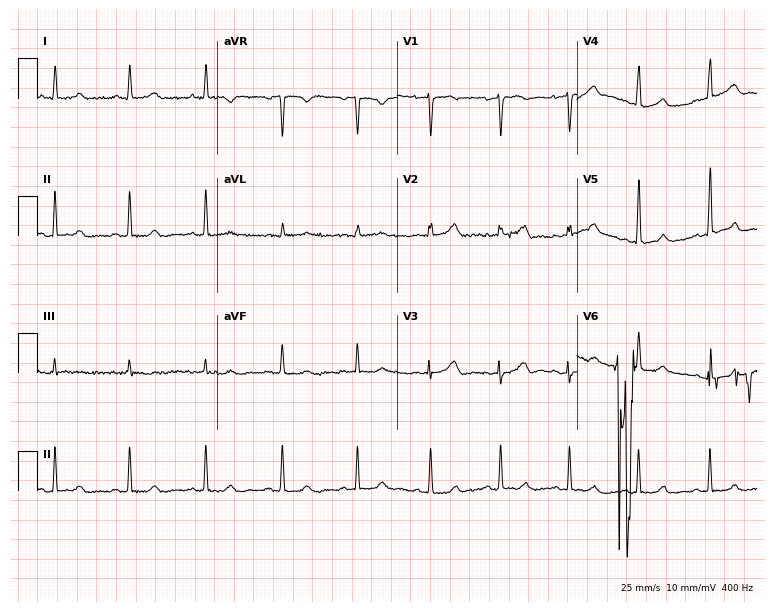
Electrocardiogram, a woman, 50 years old. Of the six screened findings (first-degree AV block, right bundle branch block (RBBB), left bundle branch block (LBBB), sinus bradycardia, atrial fibrillation (AF), sinus tachycardia), none is recorded. Only these six findings were labelled.